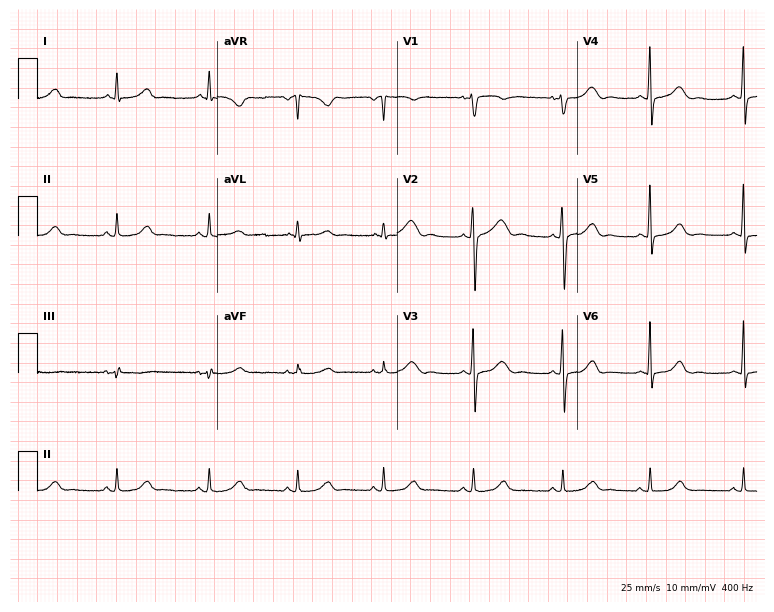
Electrocardiogram (7.3-second recording at 400 Hz), a 41-year-old woman. Of the six screened findings (first-degree AV block, right bundle branch block (RBBB), left bundle branch block (LBBB), sinus bradycardia, atrial fibrillation (AF), sinus tachycardia), none is recorded.